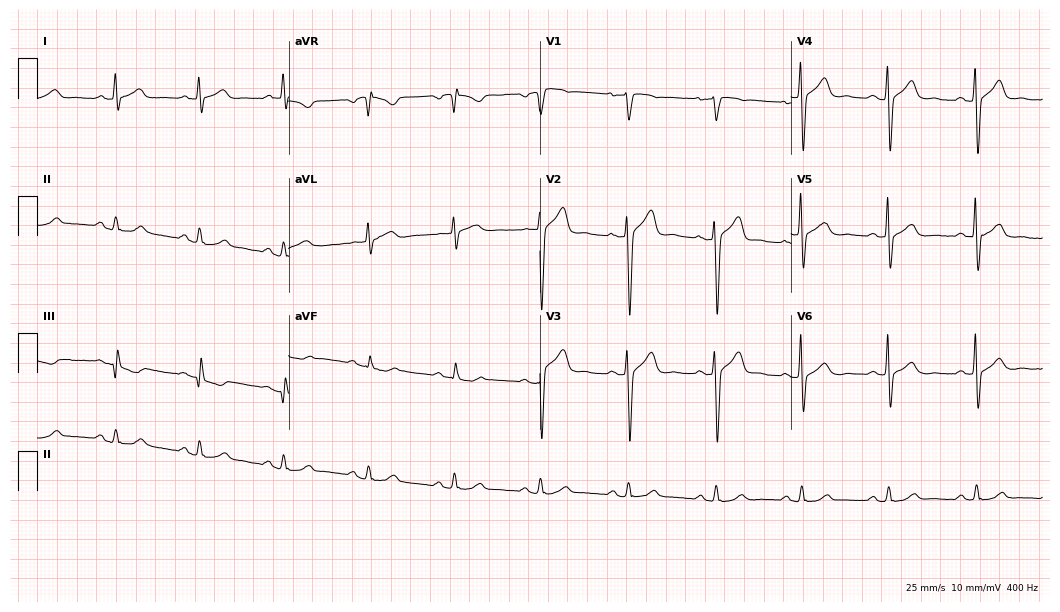
Standard 12-lead ECG recorded from a man, 60 years old (10.2-second recording at 400 Hz). None of these six findings is recorded: first-degree AV block, right bundle branch block, left bundle branch block, sinus bradycardia, atrial fibrillation, sinus tachycardia.